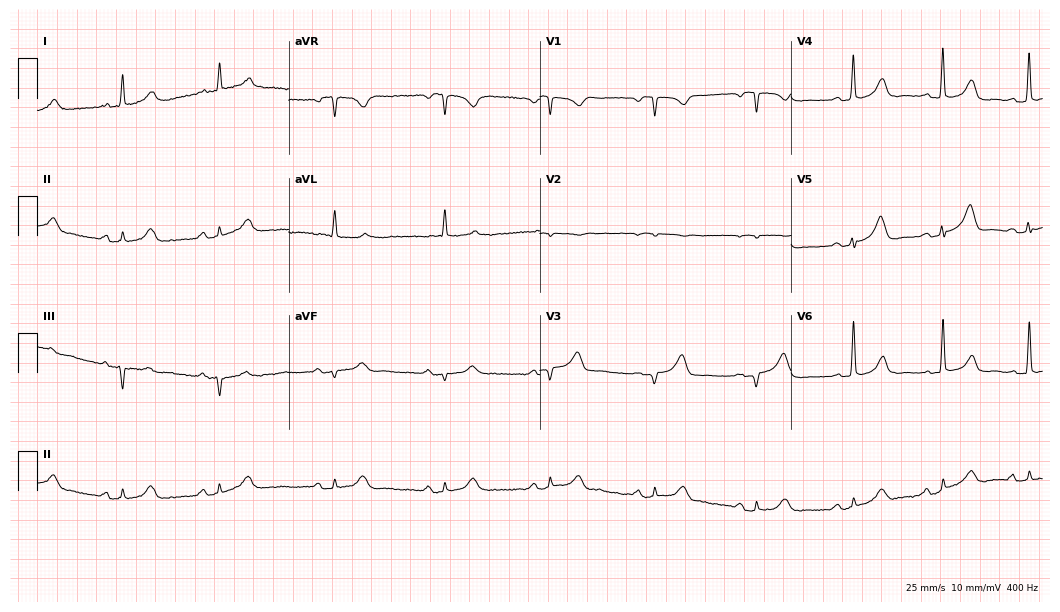
Standard 12-lead ECG recorded from a 68-year-old male. None of these six findings is recorded: first-degree AV block, right bundle branch block (RBBB), left bundle branch block (LBBB), sinus bradycardia, atrial fibrillation (AF), sinus tachycardia. Only these six findings were labelled.